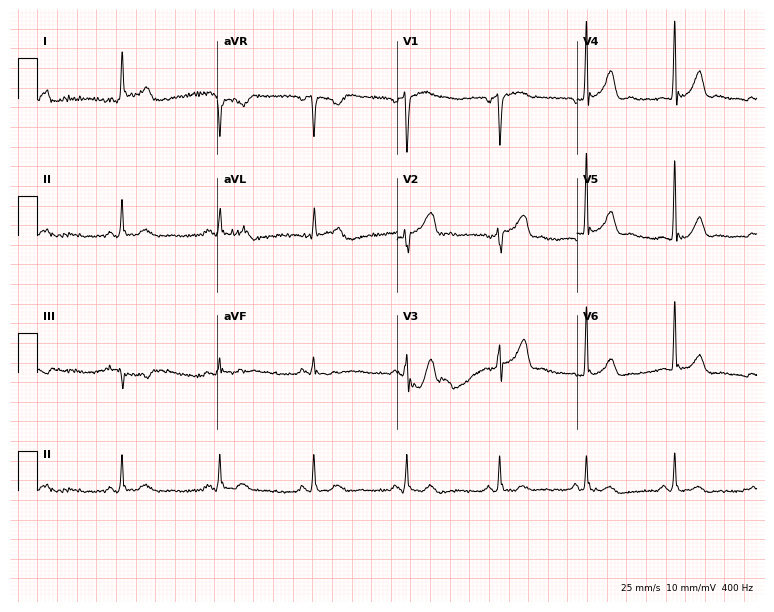
ECG (7.3-second recording at 400 Hz) — a 51-year-old man. Screened for six findings — first-degree AV block, right bundle branch block, left bundle branch block, sinus bradycardia, atrial fibrillation, sinus tachycardia — none is recorded. Only these six findings were labelled.